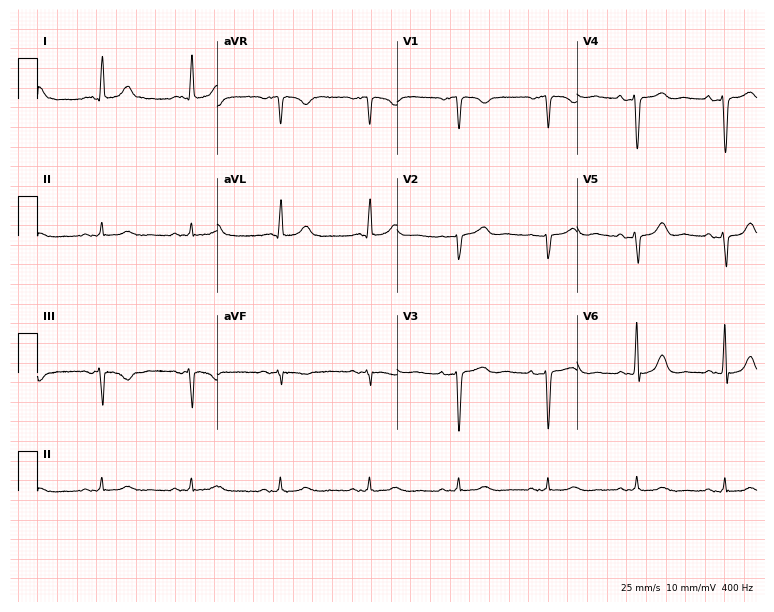
Standard 12-lead ECG recorded from an 84-year-old male patient. None of these six findings is recorded: first-degree AV block, right bundle branch block, left bundle branch block, sinus bradycardia, atrial fibrillation, sinus tachycardia.